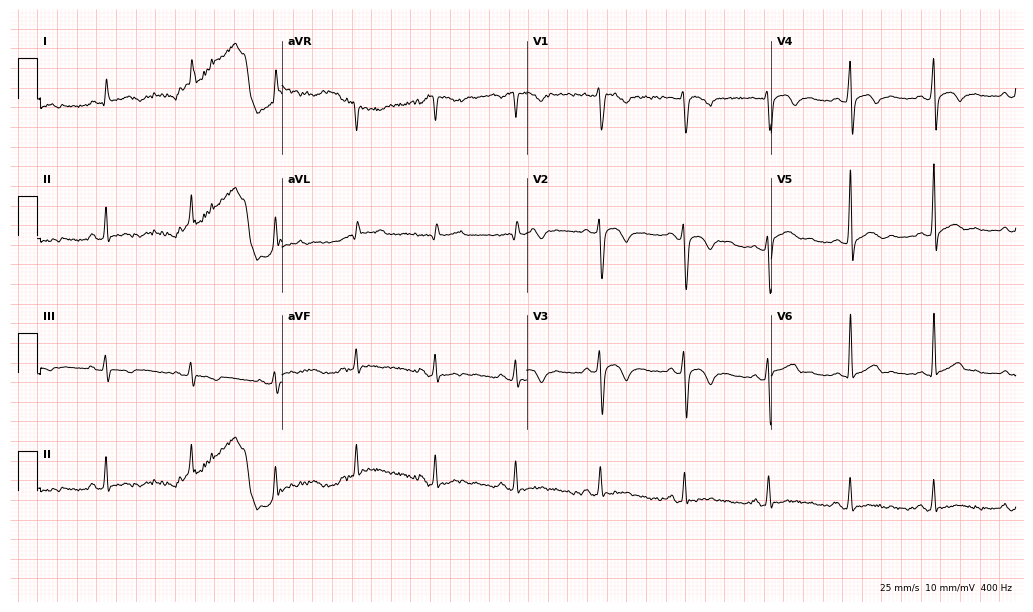
ECG (10-second recording at 400 Hz) — a 56-year-old male. Screened for six findings — first-degree AV block, right bundle branch block, left bundle branch block, sinus bradycardia, atrial fibrillation, sinus tachycardia — none is recorded. Other findings, if any, are not listed.